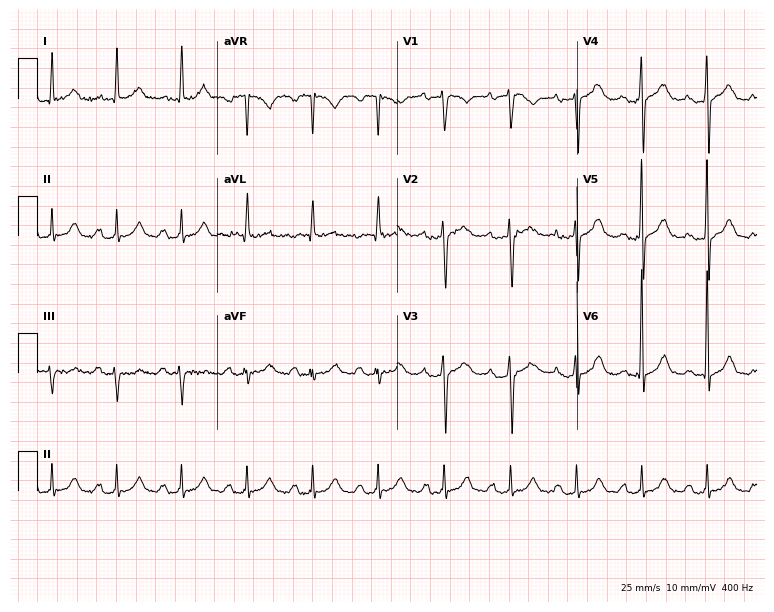
12-lead ECG (7.3-second recording at 400 Hz) from a female, 73 years old. Screened for six findings — first-degree AV block, right bundle branch block, left bundle branch block, sinus bradycardia, atrial fibrillation, sinus tachycardia — none is recorded. Findings outside these six are not listed.